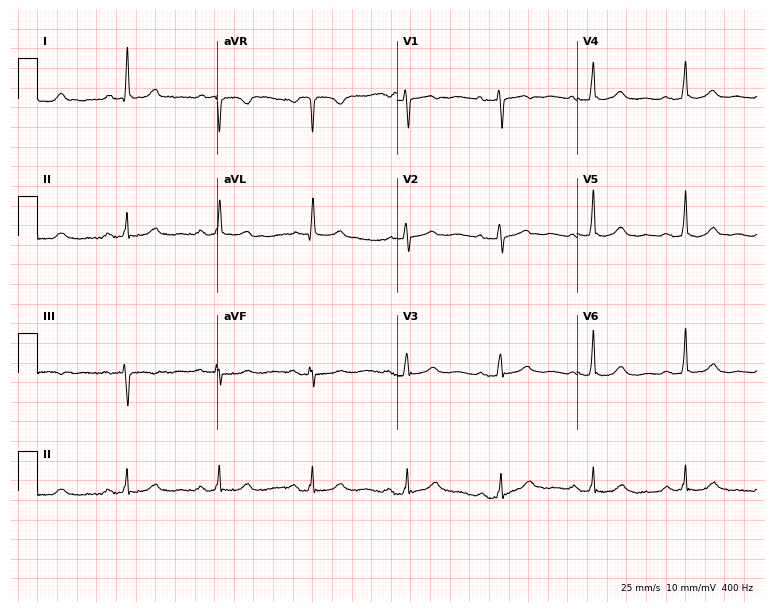
12-lead ECG from a woman, 69 years old (7.3-second recording at 400 Hz). Recorded interpretation: within normal limits.